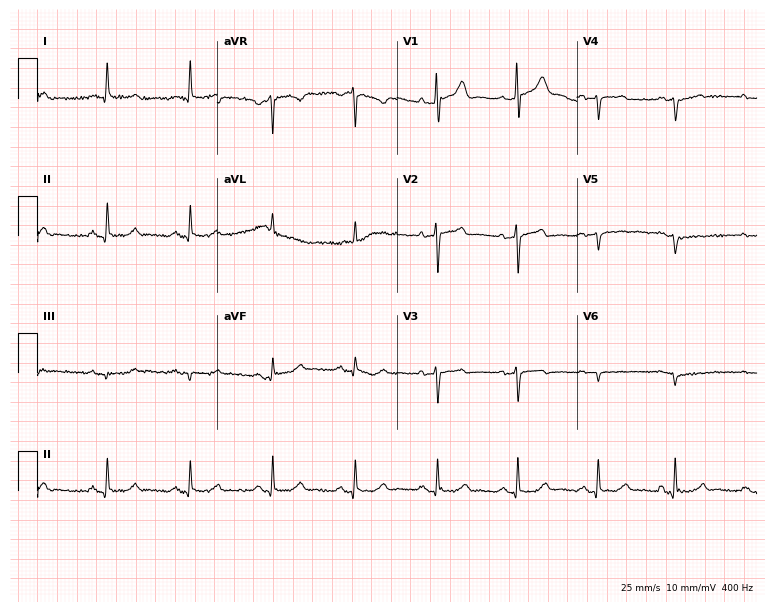
ECG (7.3-second recording at 400 Hz) — a 75-year-old man. Screened for six findings — first-degree AV block, right bundle branch block, left bundle branch block, sinus bradycardia, atrial fibrillation, sinus tachycardia — none is recorded. Findings outside these six are not listed.